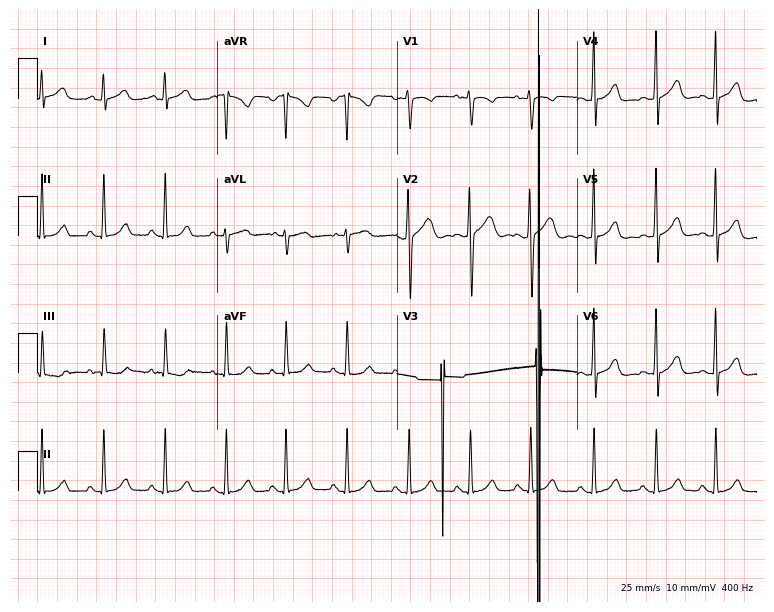
12-lead ECG from a 22-year-old female. Screened for six findings — first-degree AV block, right bundle branch block (RBBB), left bundle branch block (LBBB), sinus bradycardia, atrial fibrillation (AF), sinus tachycardia — none is recorded. Findings outside these six are not listed.